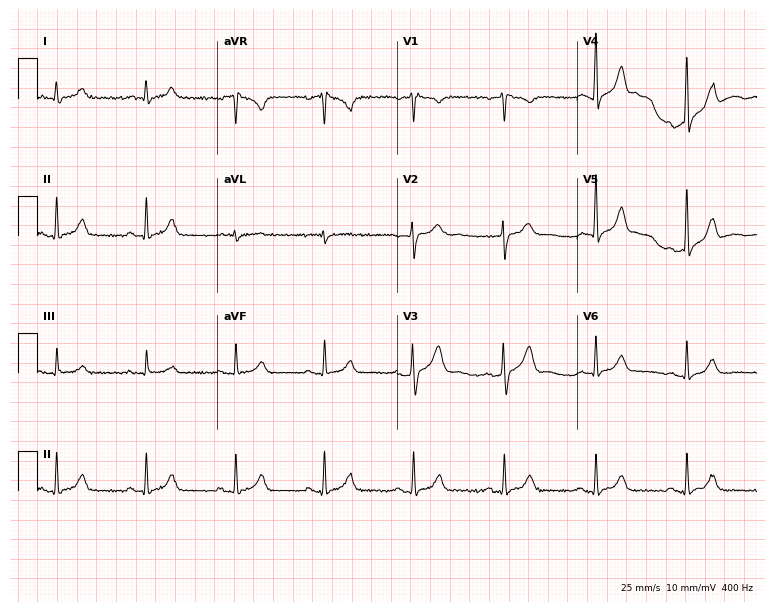
12-lead ECG from a male, 43 years old. No first-degree AV block, right bundle branch block (RBBB), left bundle branch block (LBBB), sinus bradycardia, atrial fibrillation (AF) or sinus tachycardia recorded for this tracing.